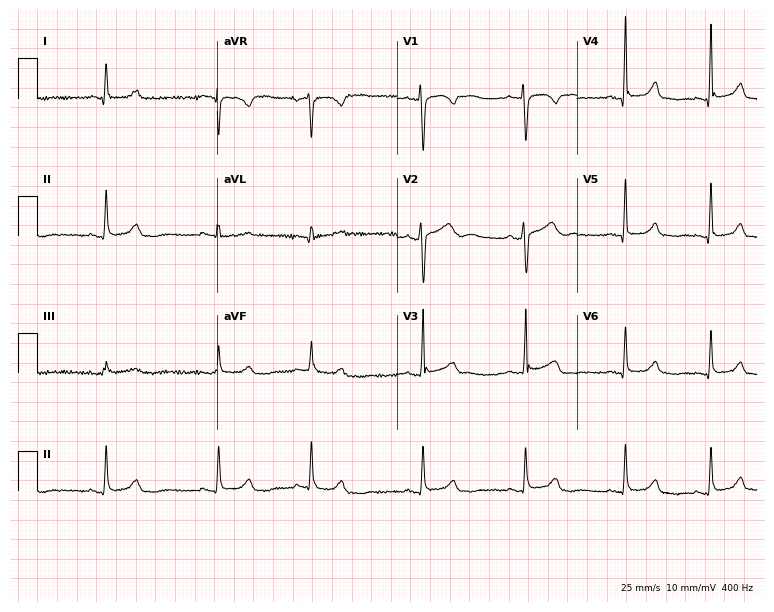
ECG — a 28-year-old male. Screened for six findings — first-degree AV block, right bundle branch block, left bundle branch block, sinus bradycardia, atrial fibrillation, sinus tachycardia — none is recorded. Only these six findings were labelled.